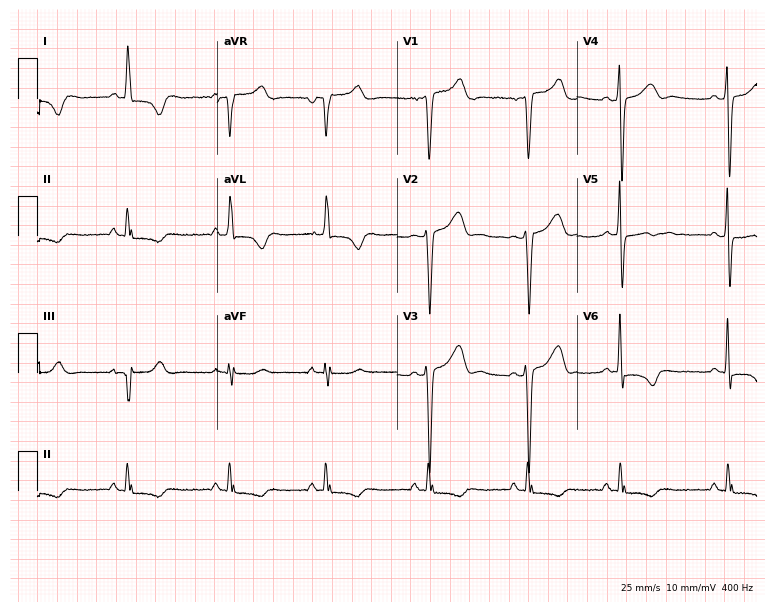
12-lead ECG (7.3-second recording at 400 Hz) from a 33-year-old woman. Screened for six findings — first-degree AV block, right bundle branch block, left bundle branch block, sinus bradycardia, atrial fibrillation, sinus tachycardia — none is recorded.